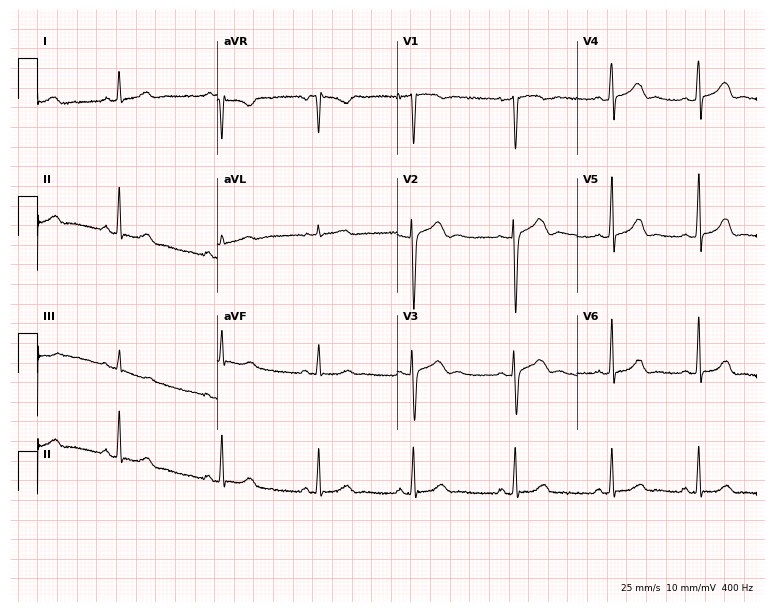
12-lead ECG from a 27-year-old female. Recorded interpretation: within normal limits.